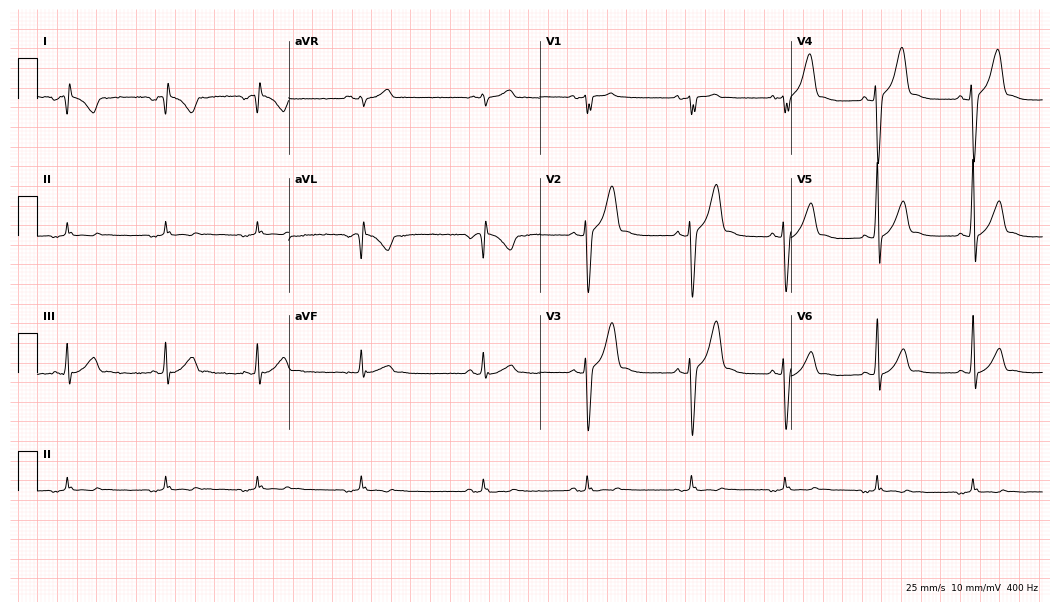
Electrocardiogram (10.2-second recording at 400 Hz), a man, 24 years old. Of the six screened findings (first-degree AV block, right bundle branch block, left bundle branch block, sinus bradycardia, atrial fibrillation, sinus tachycardia), none is recorded.